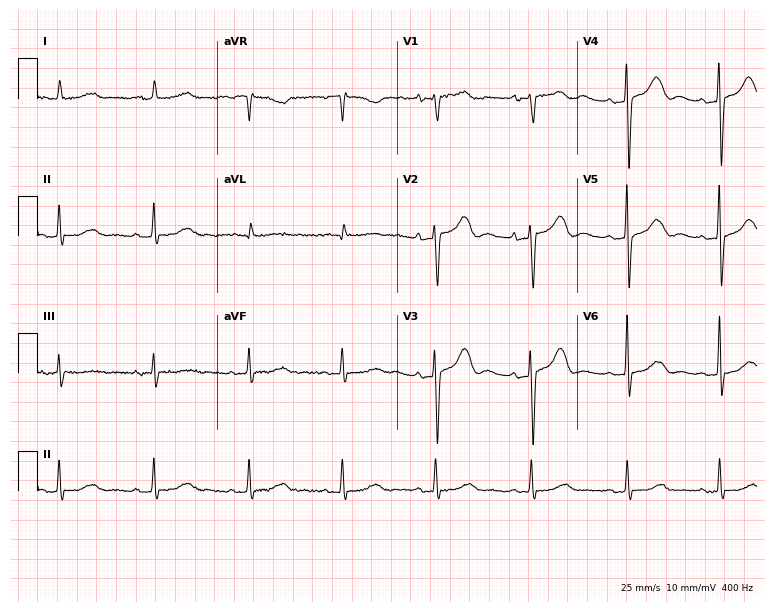
12-lead ECG from an 83-year-old female. Recorded interpretation: within normal limits.